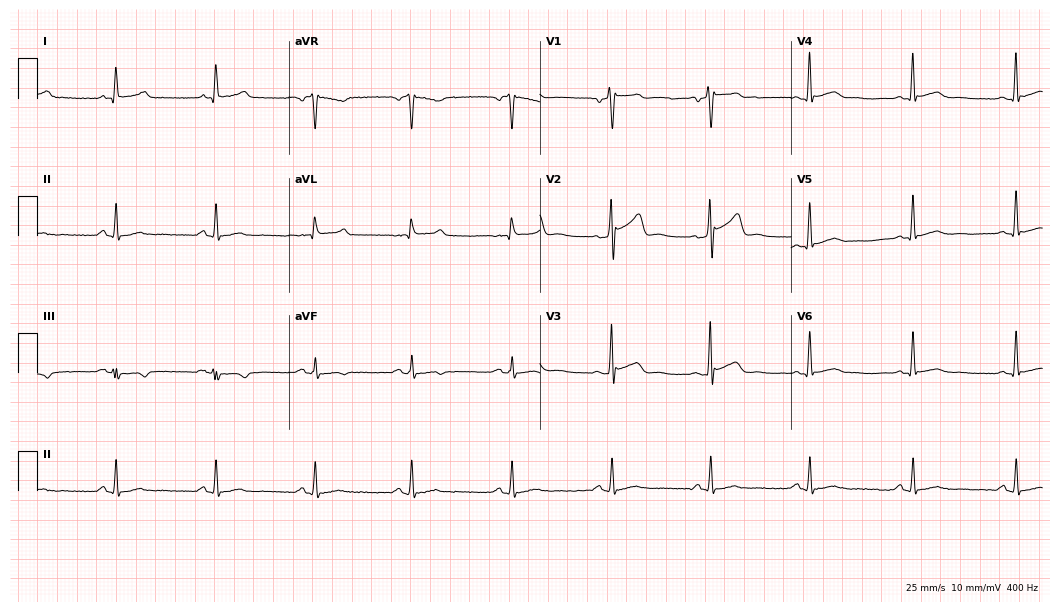
ECG — a 51-year-old male. Screened for six findings — first-degree AV block, right bundle branch block (RBBB), left bundle branch block (LBBB), sinus bradycardia, atrial fibrillation (AF), sinus tachycardia — none is recorded. Findings outside these six are not listed.